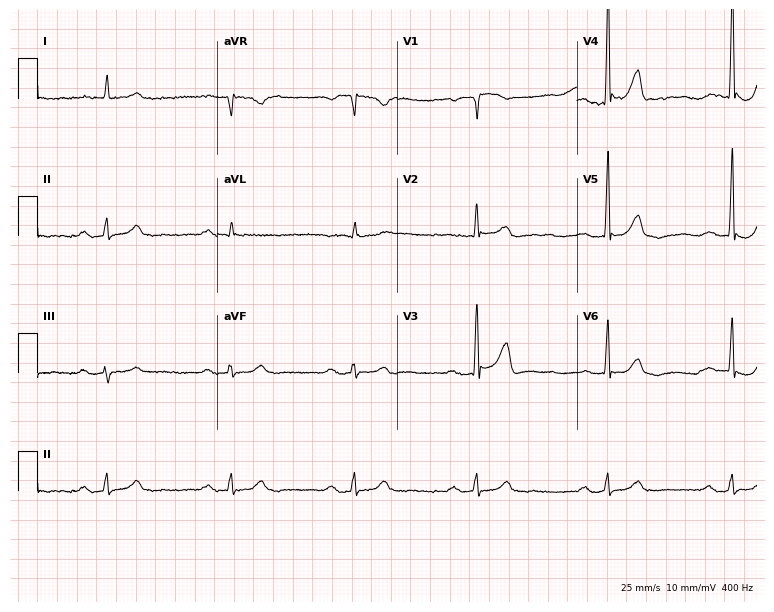
ECG (7.3-second recording at 400 Hz) — an 81-year-old man. Findings include first-degree AV block, right bundle branch block.